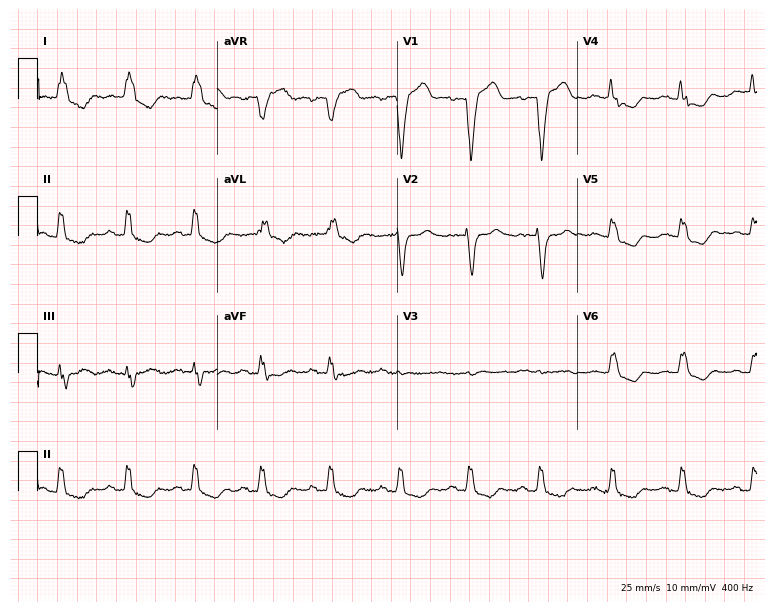
Electrocardiogram (7.3-second recording at 400 Hz), an 85-year-old female. Interpretation includes left bundle branch block (LBBB).